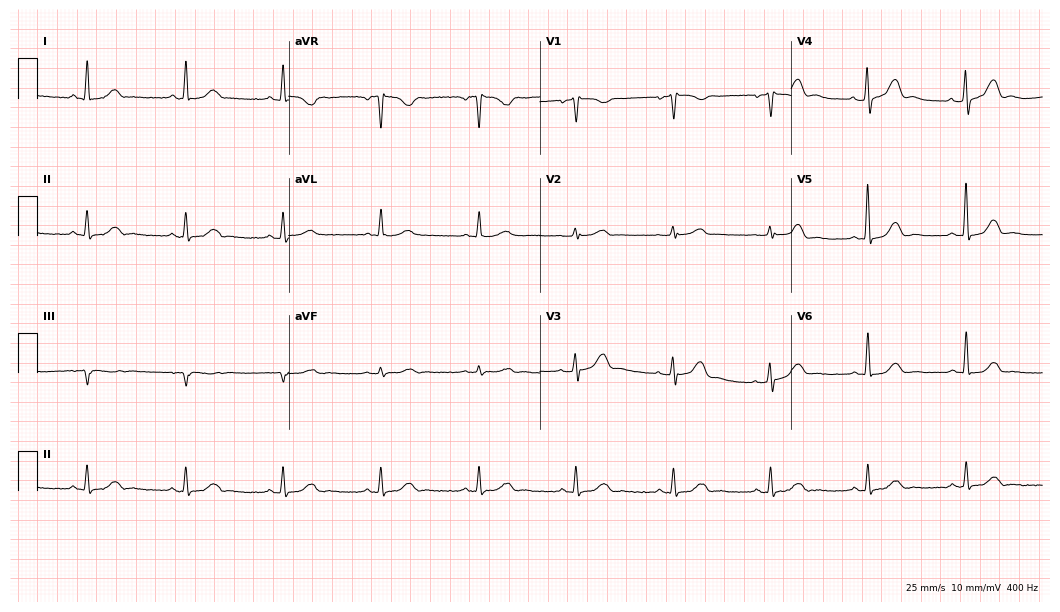
Resting 12-lead electrocardiogram. Patient: a 58-year-old female. Read as a normal ECG.